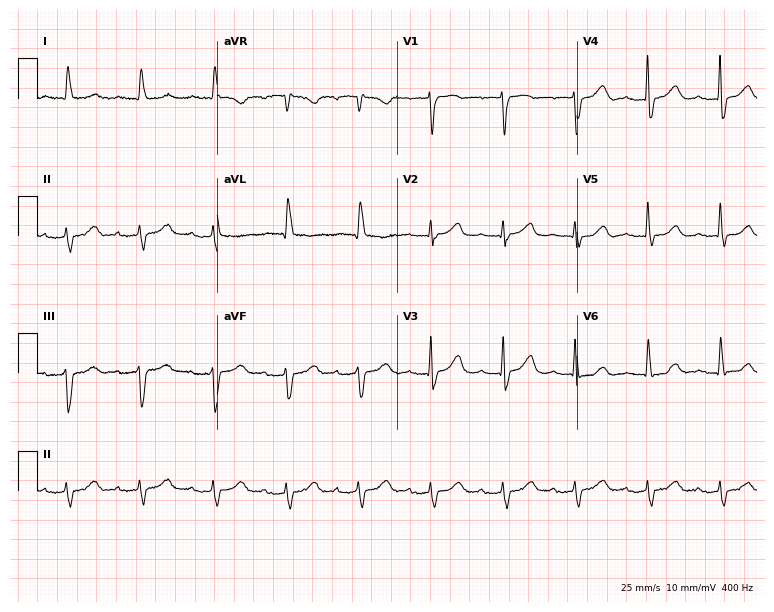
Electrocardiogram, a 77-year-old female patient. Of the six screened findings (first-degree AV block, right bundle branch block, left bundle branch block, sinus bradycardia, atrial fibrillation, sinus tachycardia), none is recorded.